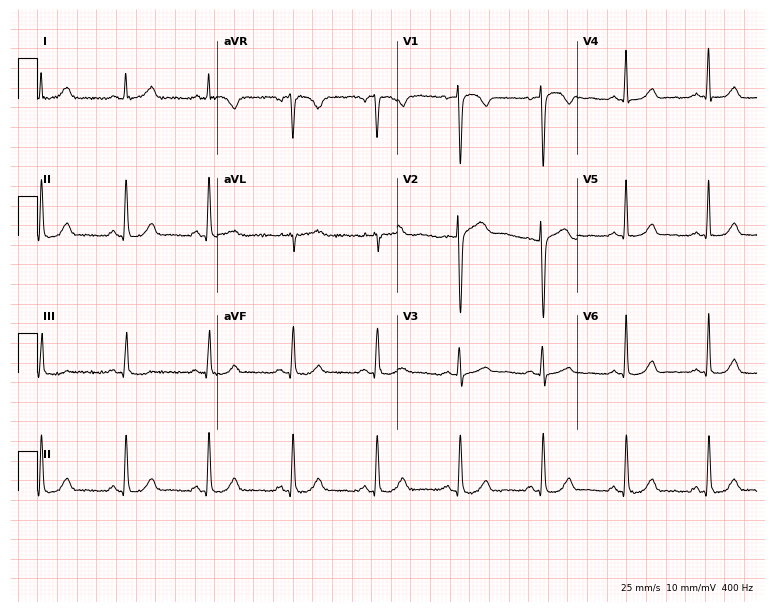
ECG — a 46-year-old female patient. Screened for six findings — first-degree AV block, right bundle branch block (RBBB), left bundle branch block (LBBB), sinus bradycardia, atrial fibrillation (AF), sinus tachycardia — none is recorded.